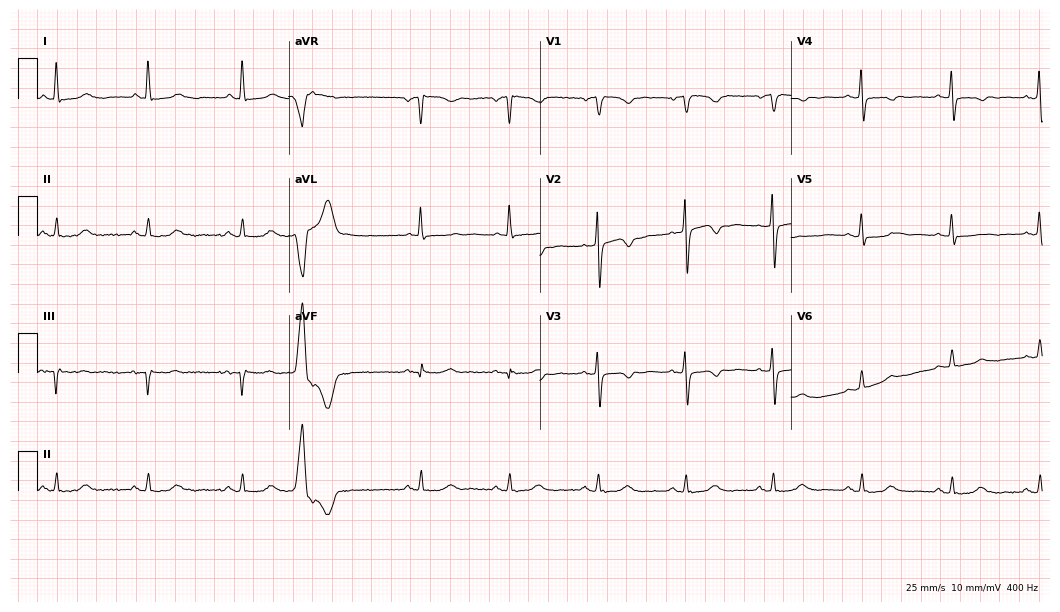
12-lead ECG from a woman, 56 years old. No first-degree AV block, right bundle branch block, left bundle branch block, sinus bradycardia, atrial fibrillation or sinus tachycardia recorded for this tracing. Findings outside these six are not listed.